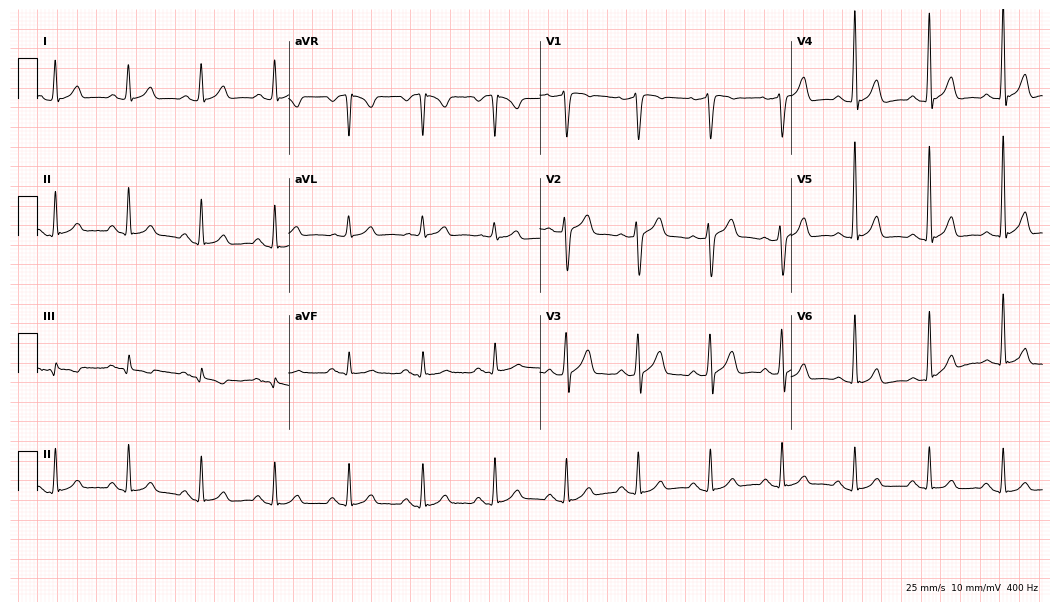
Resting 12-lead electrocardiogram (10.2-second recording at 400 Hz). Patient: a 55-year-old male. Read as a normal ECG.